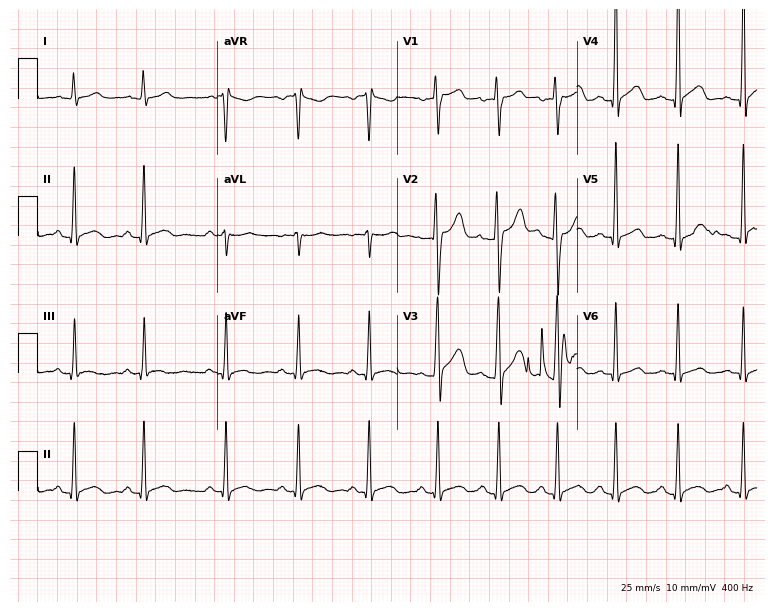
ECG — a 23-year-old male. Screened for six findings — first-degree AV block, right bundle branch block, left bundle branch block, sinus bradycardia, atrial fibrillation, sinus tachycardia — none is recorded. Findings outside these six are not listed.